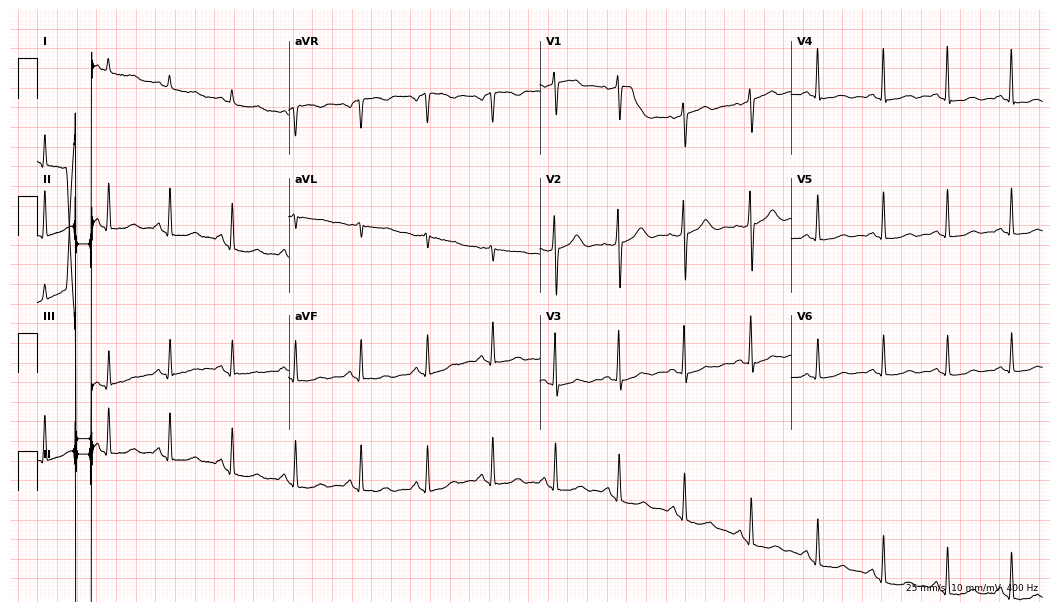
12-lead ECG from a female, 71 years old (10.2-second recording at 400 Hz). No first-degree AV block, right bundle branch block, left bundle branch block, sinus bradycardia, atrial fibrillation or sinus tachycardia recorded for this tracing.